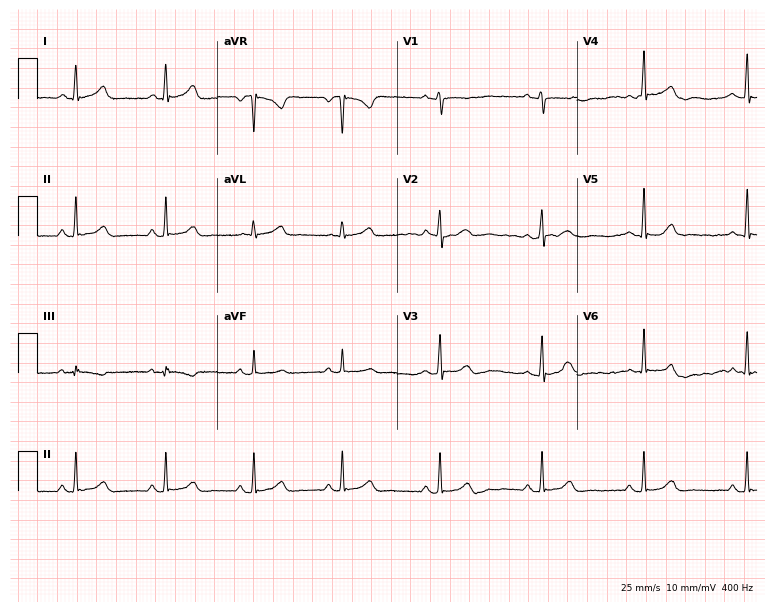
Standard 12-lead ECG recorded from a 41-year-old female patient (7.3-second recording at 400 Hz). Read as a normal ECG.